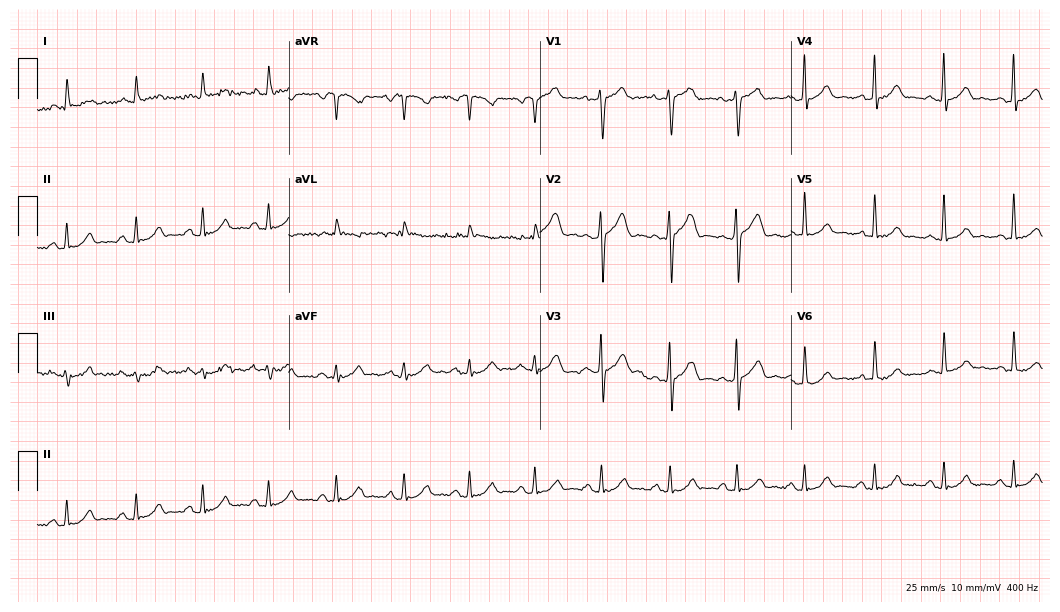
12-lead ECG from a man, 41 years old. Labelled as a normal ECG.